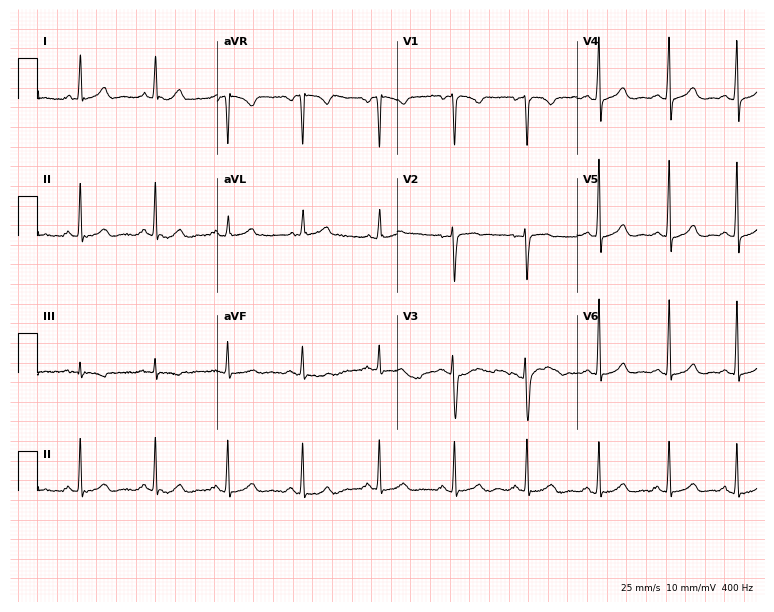
Electrocardiogram, a 33-year-old woman. Overall reading on record: normal ECG.